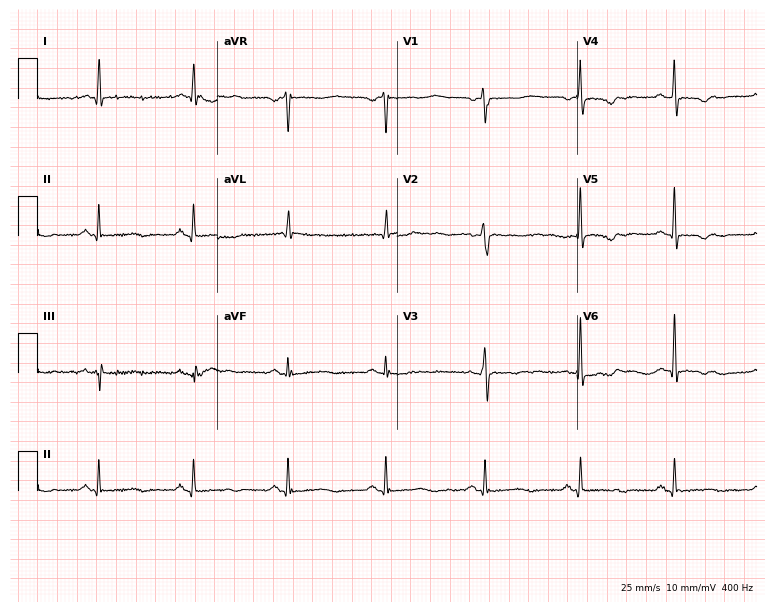
Electrocardiogram (7.3-second recording at 400 Hz), a female patient, 67 years old. Of the six screened findings (first-degree AV block, right bundle branch block, left bundle branch block, sinus bradycardia, atrial fibrillation, sinus tachycardia), none is recorded. Findings outside these six are not listed.